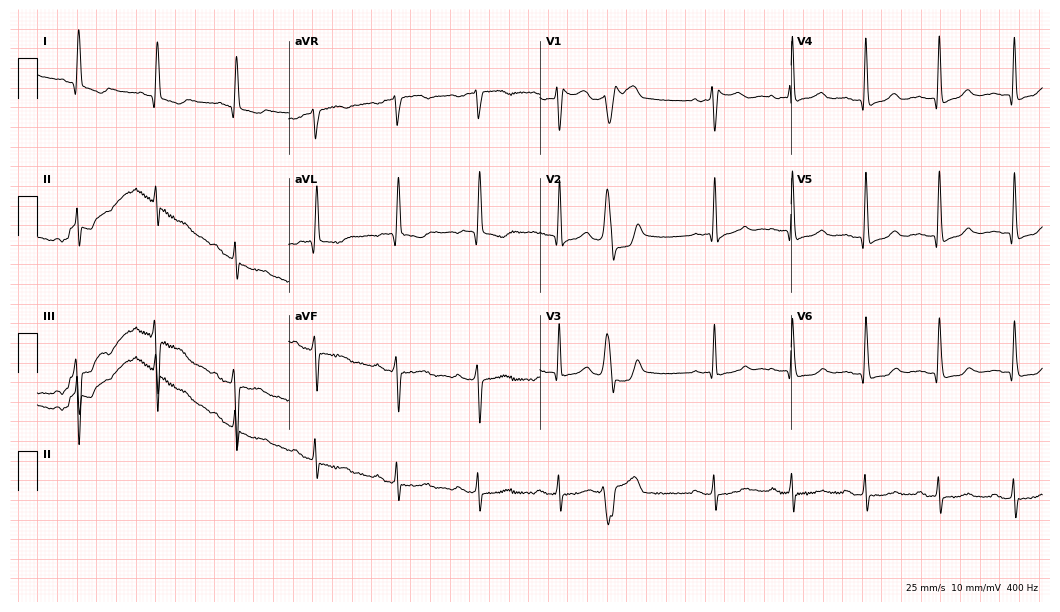
12-lead ECG (10.2-second recording at 400 Hz) from a female patient, 82 years old. Screened for six findings — first-degree AV block, right bundle branch block, left bundle branch block, sinus bradycardia, atrial fibrillation, sinus tachycardia — none is recorded. Only these six findings were labelled.